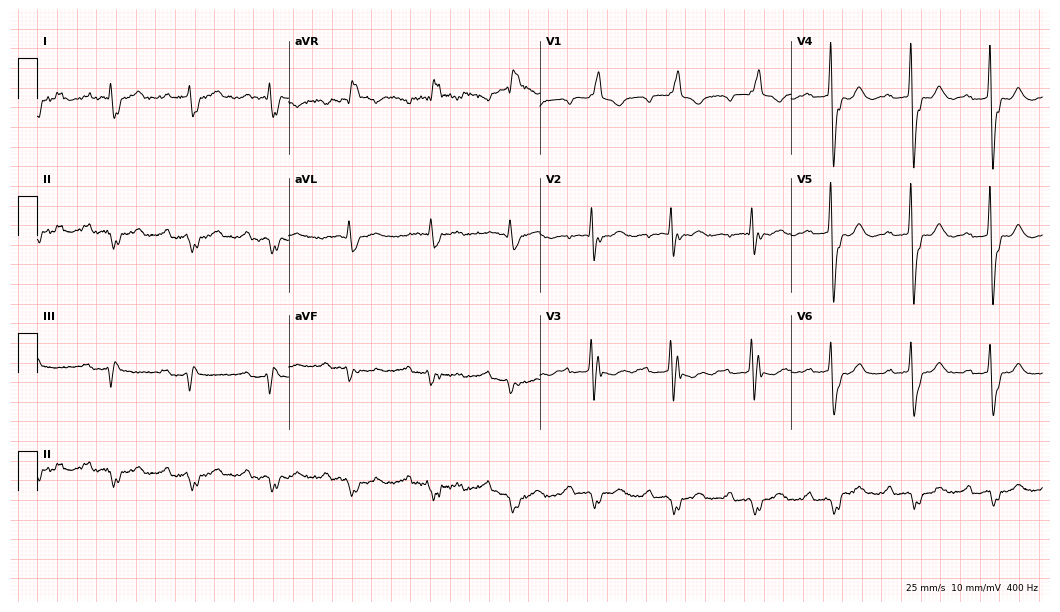
Electrocardiogram (10.2-second recording at 400 Hz), a man, 82 years old. Interpretation includes first-degree AV block, right bundle branch block (RBBB).